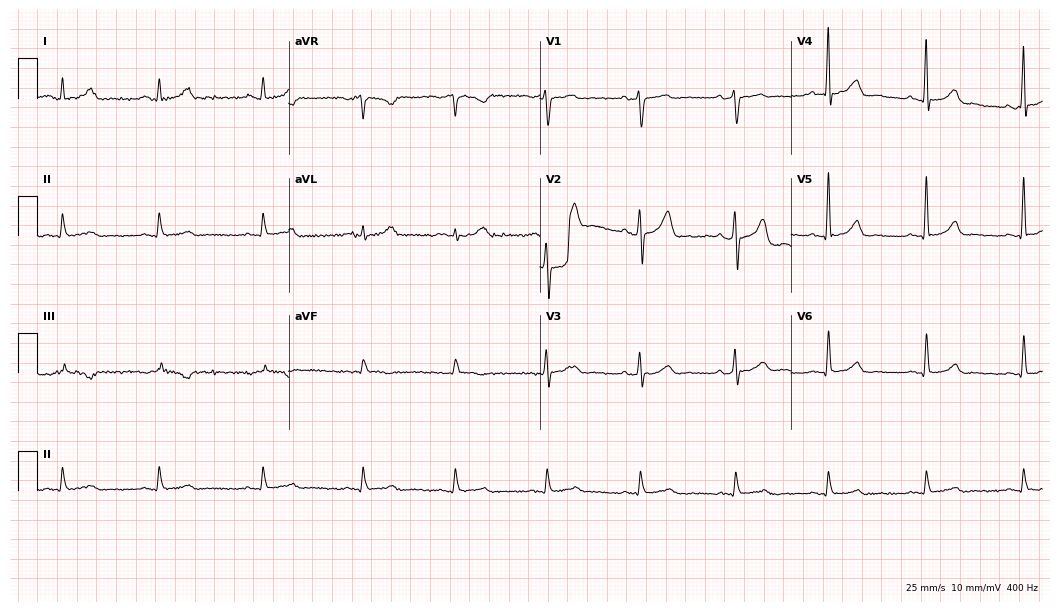
12-lead ECG from a male patient, 55 years old (10.2-second recording at 400 Hz). No first-degree AV block, right bundle branch block, left bundle branch block, sinus bradycardia, atrial fibrillation or sinus tachycardia recorded for this tracing. Findings outside these six are not listed.